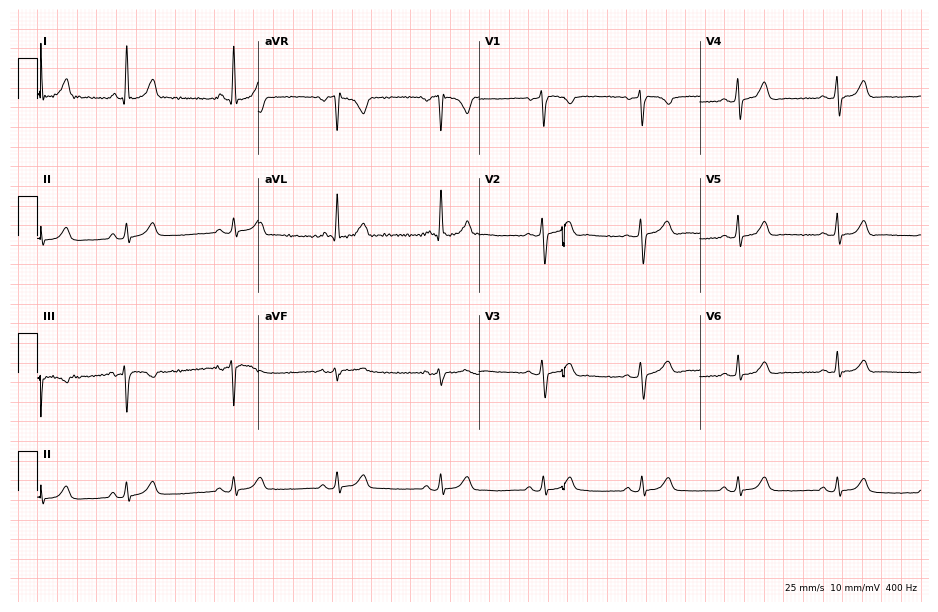
Standard 12-lead ECG recorded from a 55-year-old woman (9-second recording at 400 Hz). Read as a normal ECG.